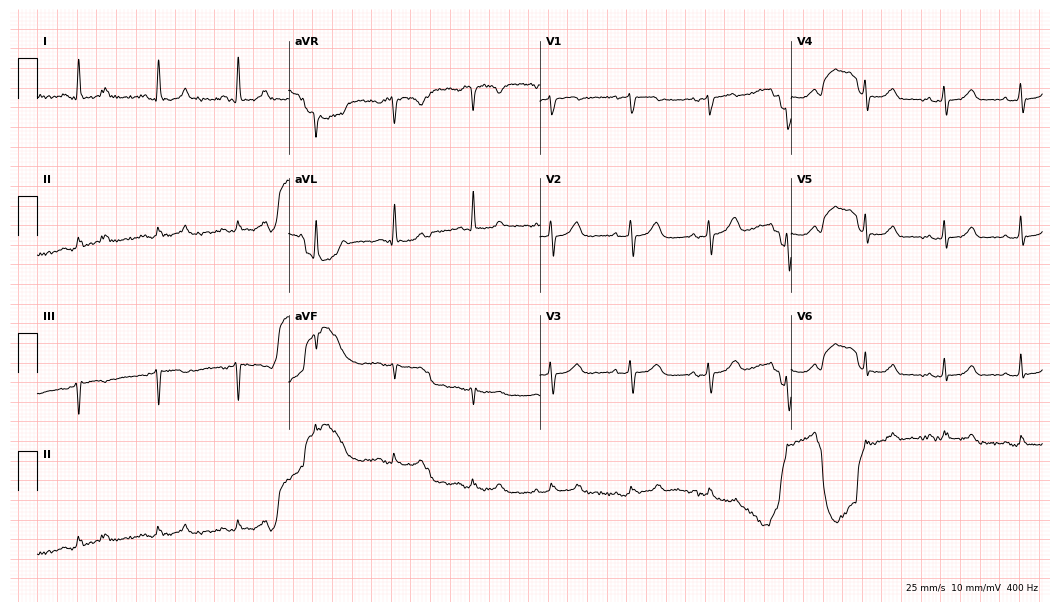
Resting 12-lead electrocardiogram (10.2-second recording at 400 Hz). Patient: a 71-year-old female. Read as a normal ECG.